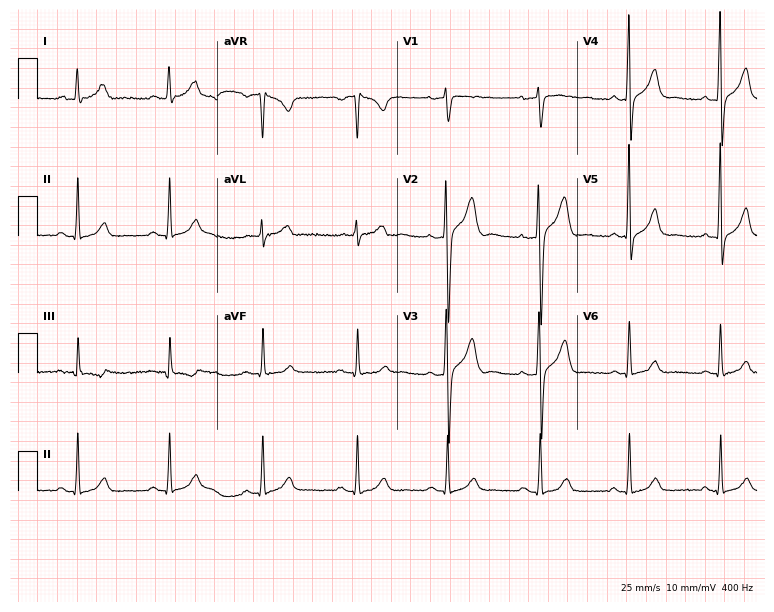
Resting 12-lead electrocardiogram (7.3-second recording at 400 Hz). Patient: a man, 41 years old. Read as a normal ECG.